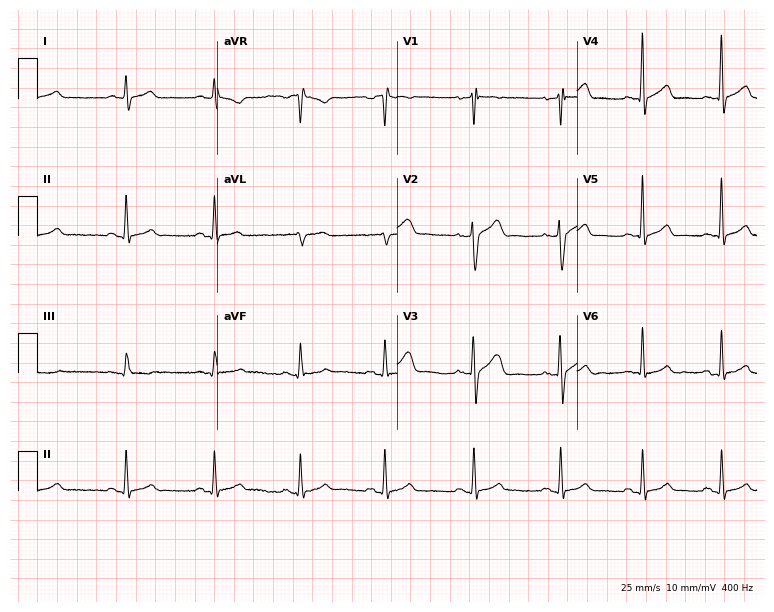
Standard 12-lead ECG recorded from a man, 39 years old. Read as a normal ECG.